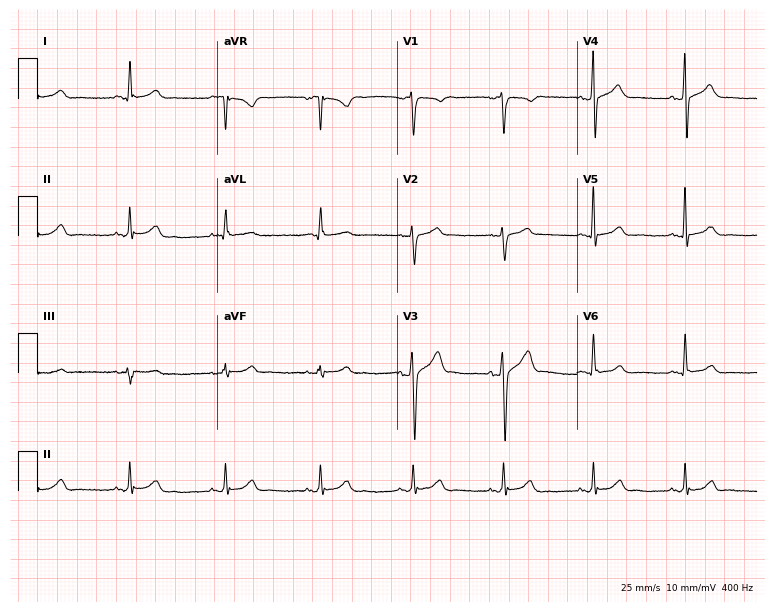
Resting 12-lead electrocardiogram (7.3-second recording at 400 Hz). Patient: a male, 36 years old. Read as a normal ECG.